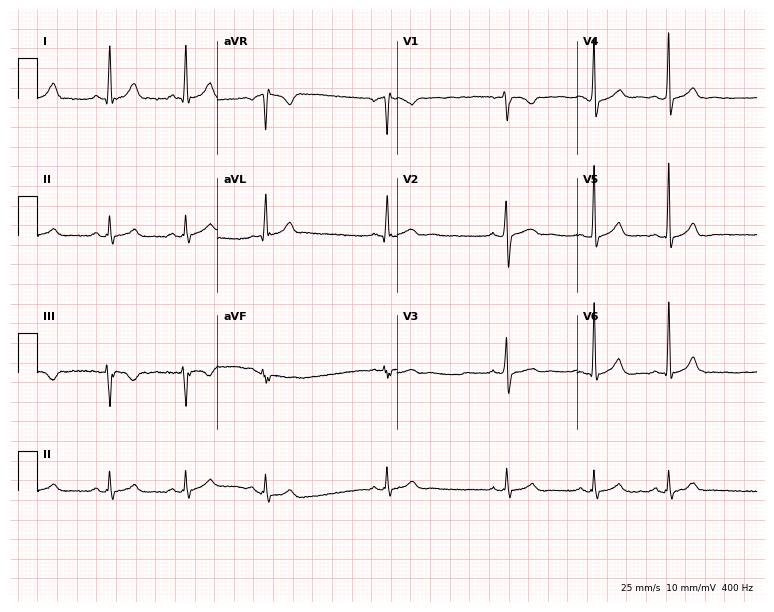
12-lead ECG from a male patient, 26 years old (7.3-second recording at 400 Hz). Recorded interpretation: within normal limits.